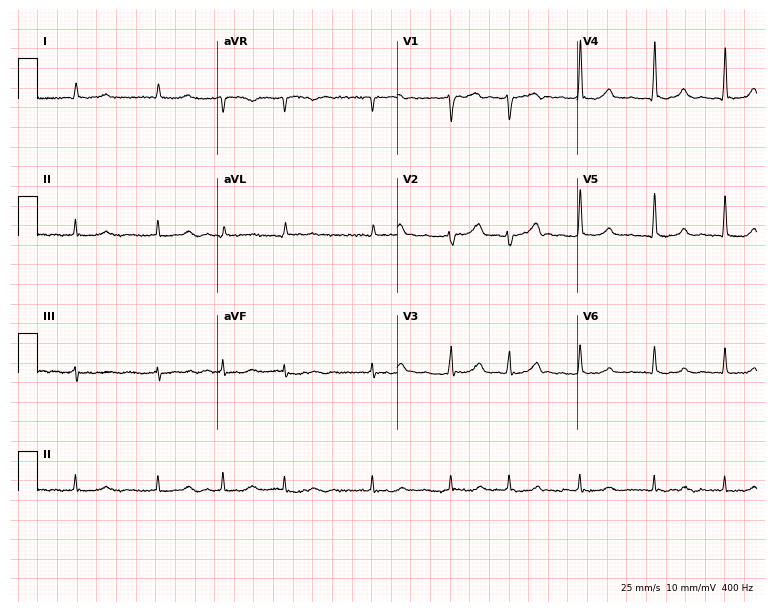
Resting 12-lead electrocardiogram. Patient: a male, 71 years old. The tracing shows atrial fibrillation (AF).